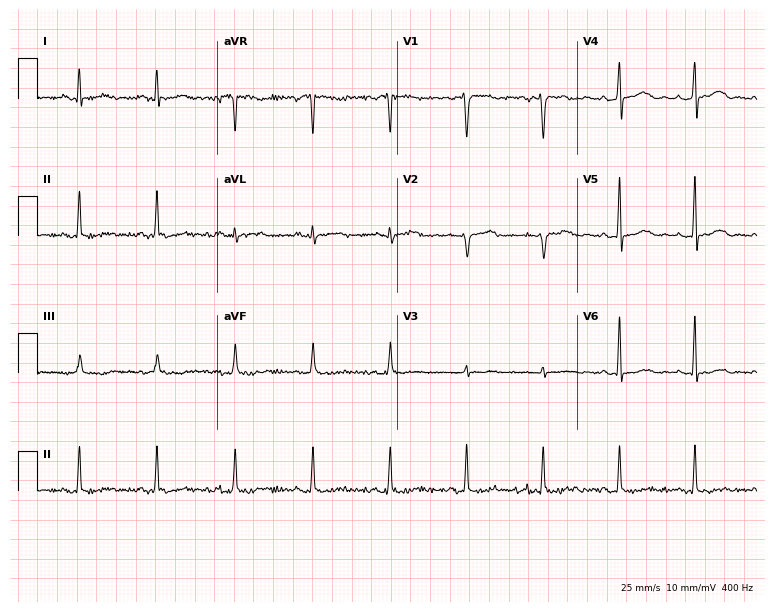
Resting 12-lead electrocardiogram. Patient: a female, 38 years old. None of these six findings is recorded: first-degree AV block, right bundle branch block (RBBB), left bundle branch block (LBBB), sinus bradycardia, atrial fibrillation (AF), sinus tachycardia.